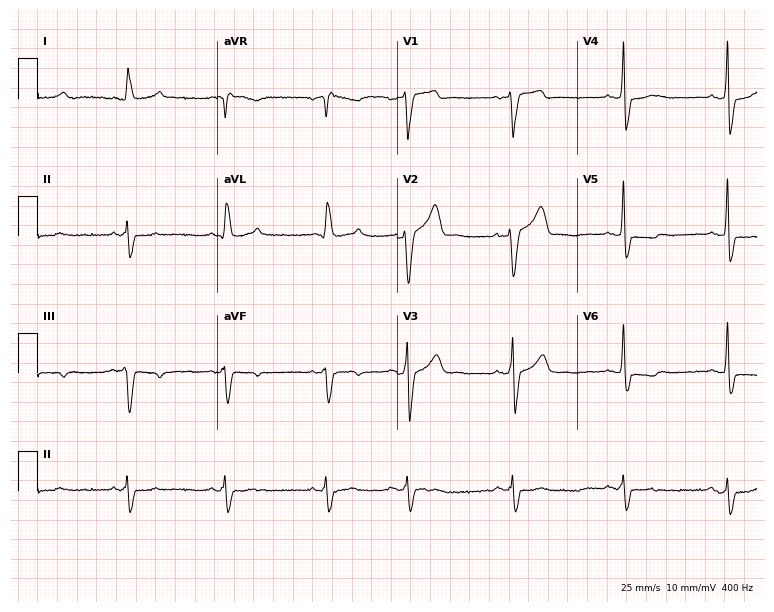
Resting 12-lead electrocardiogram (7.3-second recording at 400 Hz). Patient: a 77-year-old man. None of these six findings is recorded: first-degree AV block, right bundle branch block, left bundle branch block, sinus bradycardia, atrial fibrillation, sinus tachycardia.